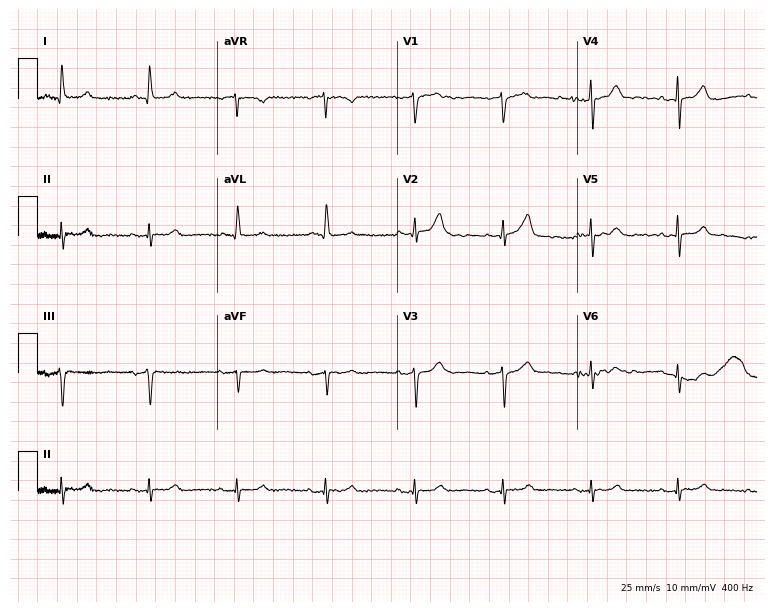
ECG (7.3-second recording at 400 Hz) — a female, 80 years old. Screened for six findings — first-degree AV block, right bundle branch block (RBBB), left bundle branch block (LBBB), sinus bradycardia, atrial fibrillation (AF), sinus tachycardia — none is recorded. Only these six findings were labelled.